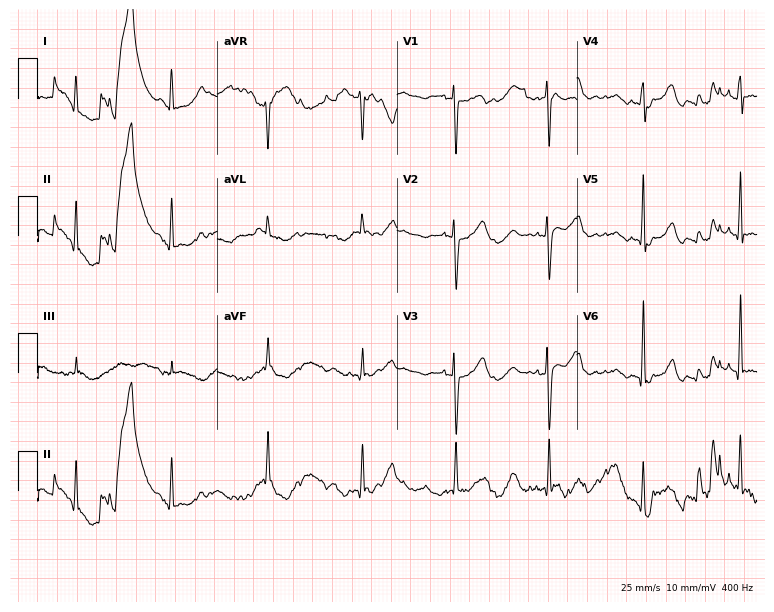
Resting 12-lead electrocardiogram. Patient: a female, 42 years old. None of these six findings is recorded: first-degree AV block, right bundle branch block (RBBB), left bundle branch block (LBBB), sinus bradycardia, atrial fibrillation (AF), sinus tachycardia.